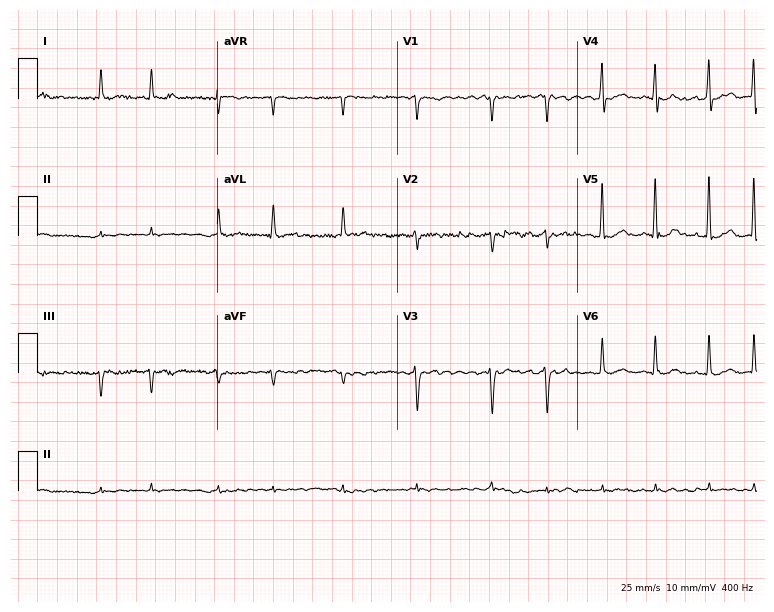
Electrocardiogram, a man, 72 years old. Interpretation includes atrial fibrillation.